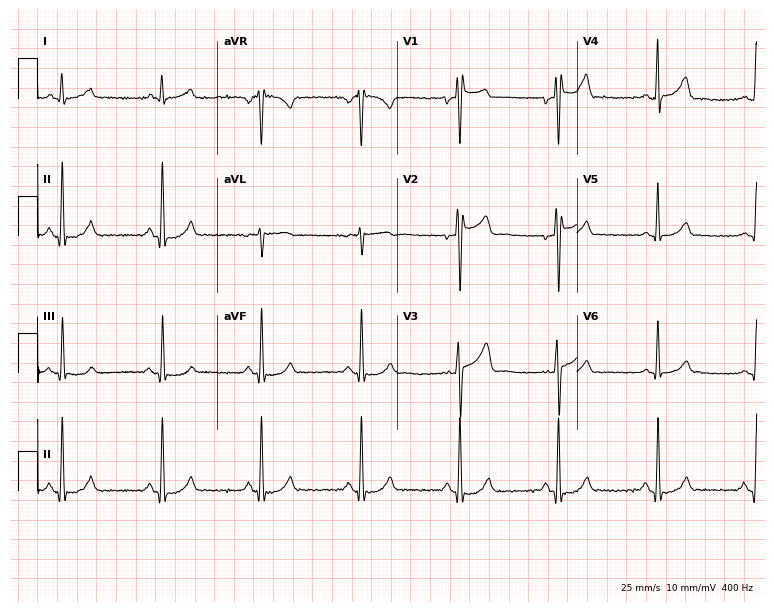
Resting 12-lead electrocardiogram (7.3-second recording at 400 Hz). Patient: a 58-year-old male. Read as a normal ECG.